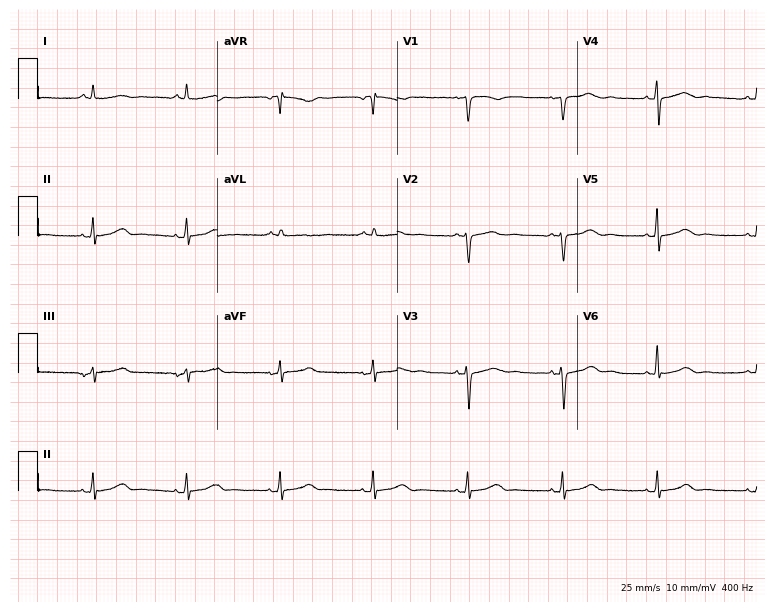
12-lead ECG from a 57-year-old woman (7.3-second recording at 400 Hz). No first-degree AV block, right bundle branch block (RBBB), left bundle branch block (LBBB), sinus bradycardia, atrial fibrillation (AF) or sinus tachycardia recorded for this tracing.